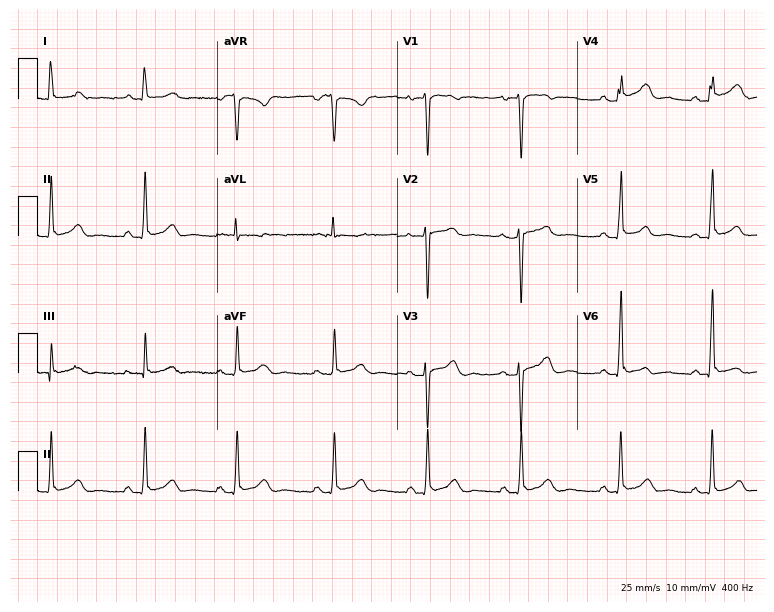
Resting 12-lead electrocardiogram (7.3-second recording at 400 Hz). Patient: a female, 41 years old. None of these six findings is recorded: first-degree AV block, right bundle branch block, left bundle branch block, sinus bradycardia, atrial fibrillation, sinus tachycardia. Only these six findings were labelled.